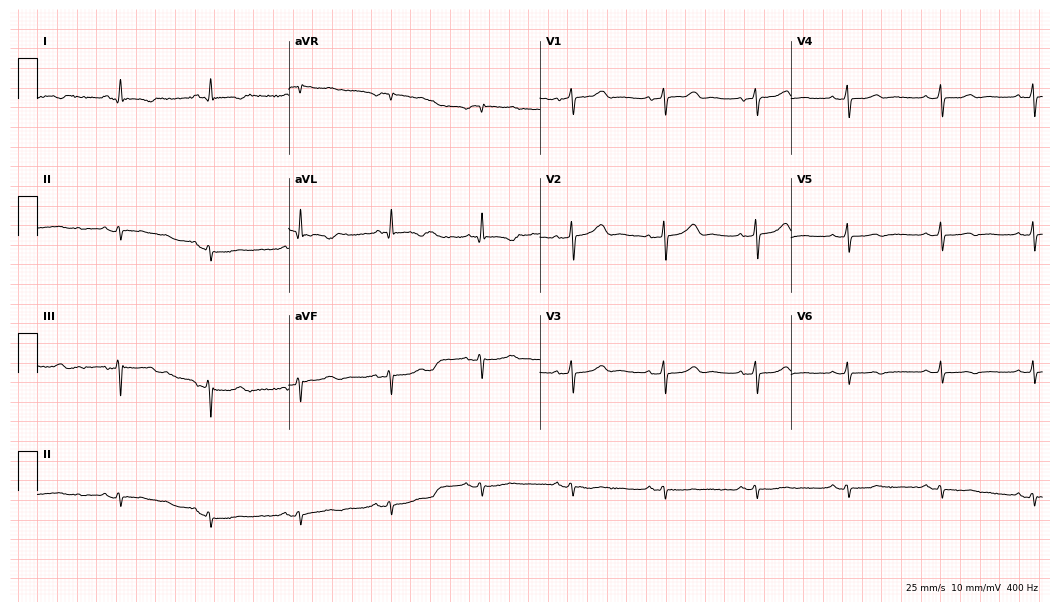
12-lead ECG (10.2-second recording at 400 Hz) from a 74-year-old female. Screened for six findings — first-degree AV block, right bundle branch block (RBBB), left bundle branch block (LBBB), sinus bradycardia, atrial fibrillation (AF), sinus tachycardia — none is recorded. Only these six findings were labelled.